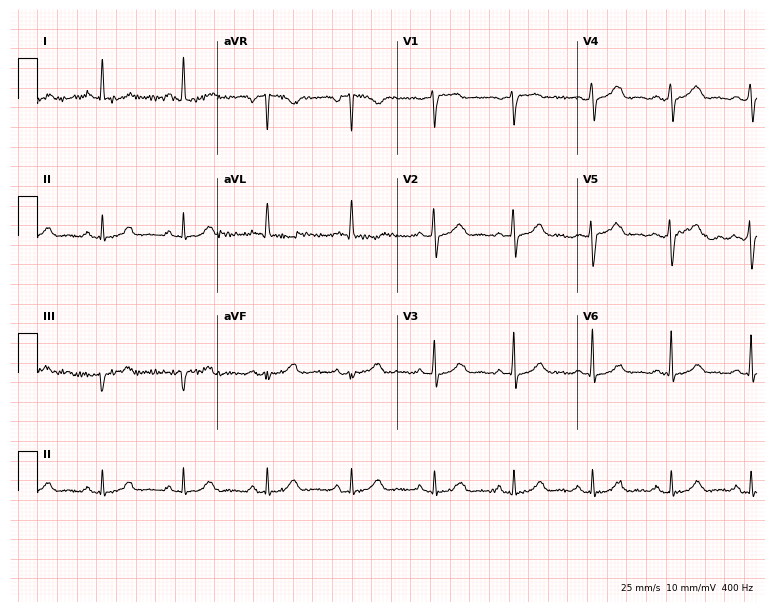
12-lead ECG from a 52-year-old female patient (7.3-second recording at 400 Hz). Recorded interpretation: within normal limits.